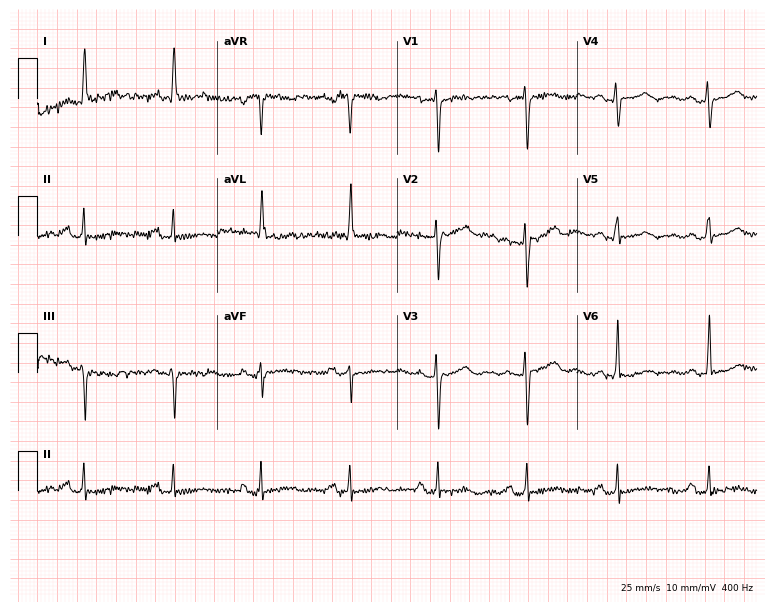
12-lead ECG from a 63-year-old female (7.3-second recording at 400 Hz). No first-degree AV block, right bundle branch block, left bundle branch block, sinus bradycardia, atrial fibrillation or sinus tachycardia recorded for this tracing.